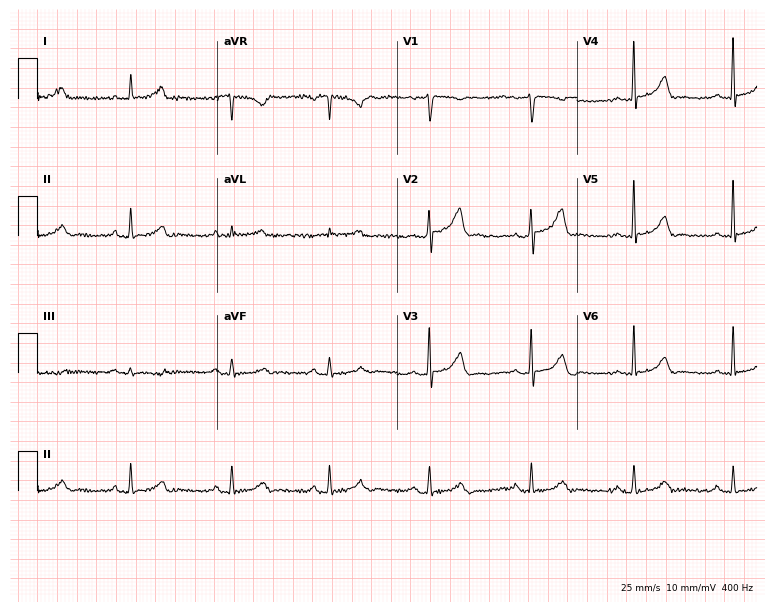
12-lead ECG from a 47-year-old female patient. Screened for six findings — first-degree AV block, right bundle branch block (RBBB), left bundle branch block (LBBB), sinus bradycardia, atrial fibrillation (AF), sinus tachycardia — none is recorded. Findings outside these six are not listed.